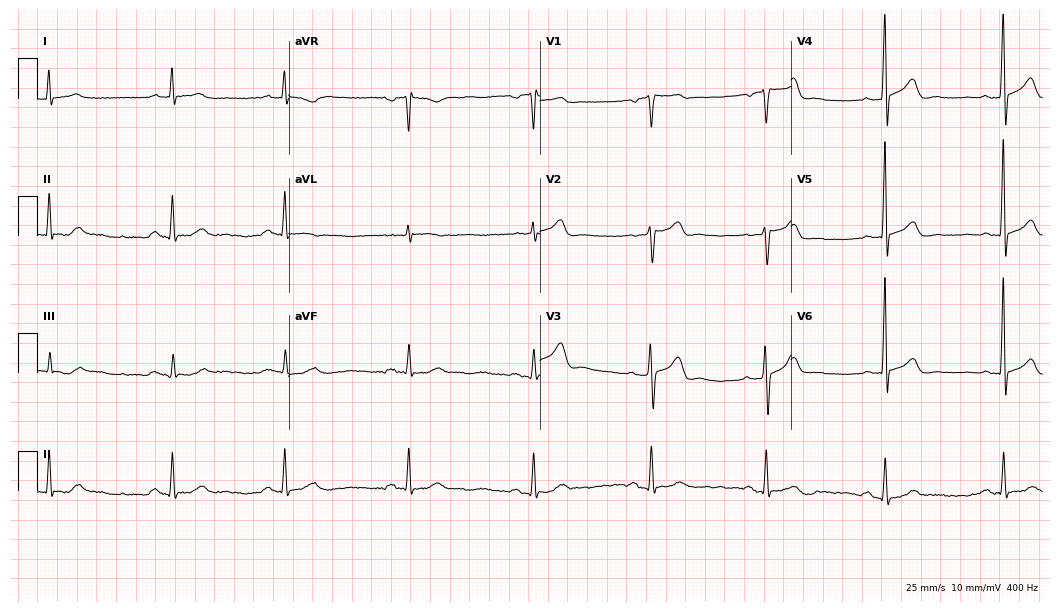
12-lead ECG (10.2-second recording at 400 Hz) from a male patient, 60 years old. Labelled as a normal ECG.